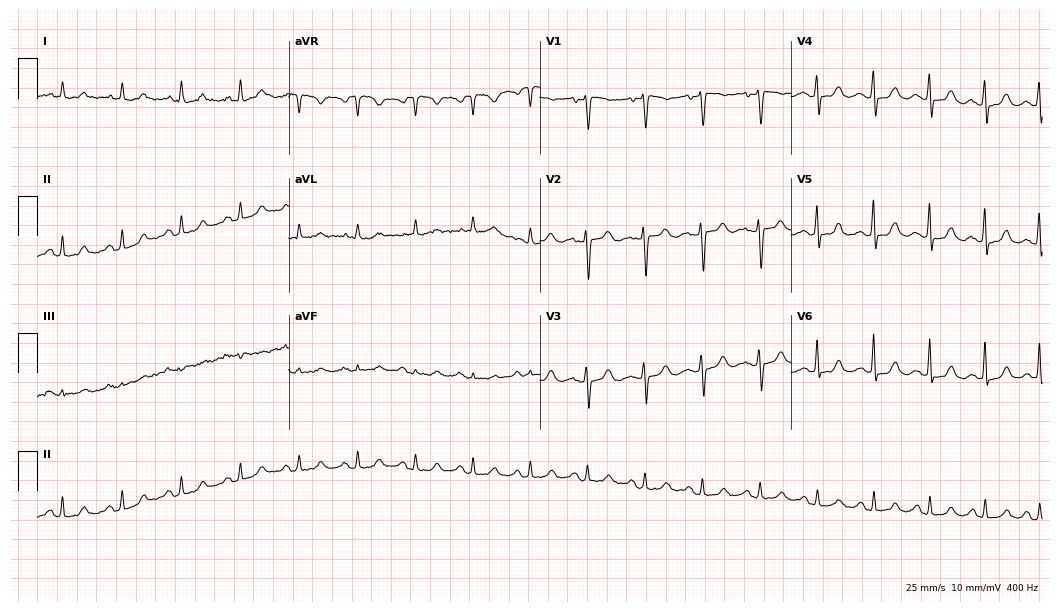
ECG (10.2-second recording at 400 Hz) — a woman, 81 years old. Findings include sinus tachycardia (a sinus rate of 100 beats per minute or more).